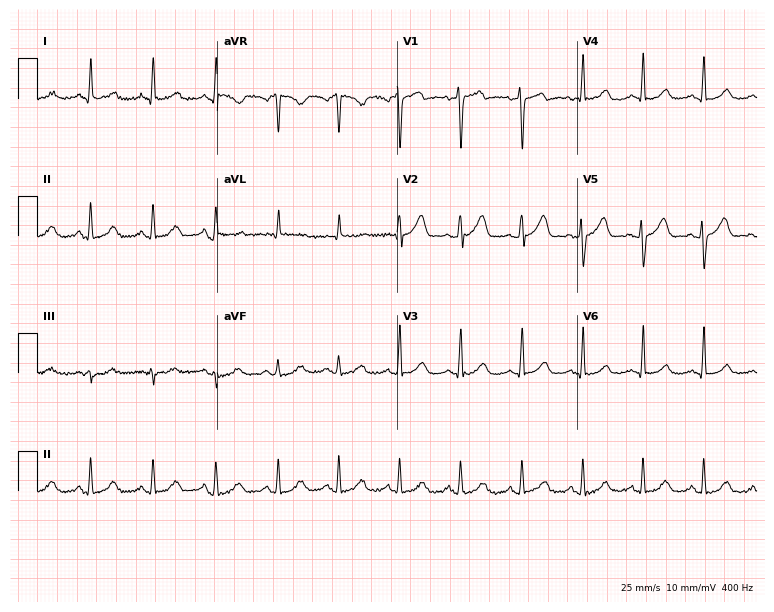
Electrocardiogram (7.3-second recording at 400 Hz), a 56-year-old female. Overall reading on record: normal ECG.